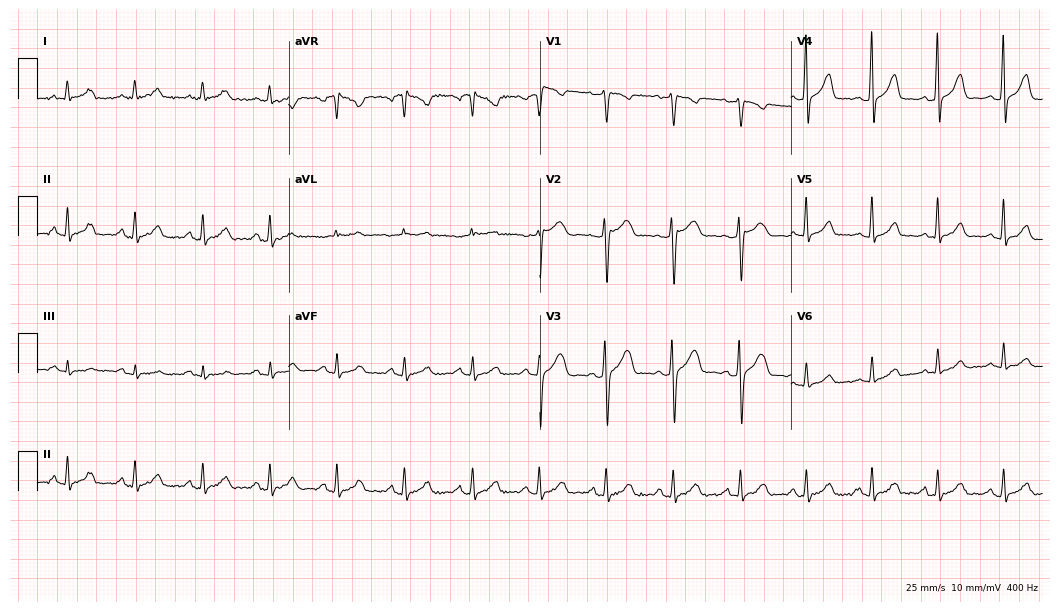
Resting 12-lead electrocardiogram (10.2-second recording at 400 Hz). Patient: a 50-year-old female. Read as a normal ECG.